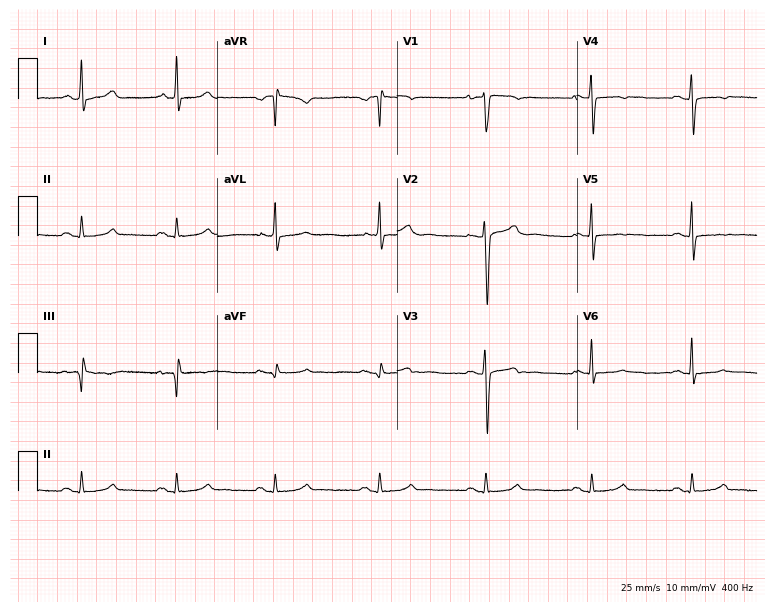
ECG — a woman, 36 years old. Screened for six findings — first-degree AV block, right bundle branch block (RBBB), left bundle branch block (LBBB), sinus bradycardia, atrial fibrillation (AF), sinus tachycardia — none is recorded.